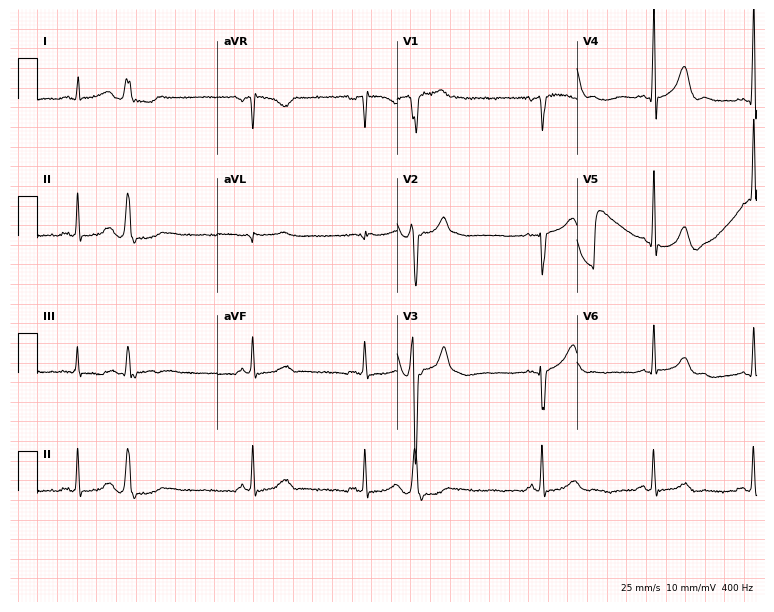
Resting 12-lead electrocardiogram. Patient: a man, 59 years old. None of these six findings is recorded: first-degree AV block, right bundle branch block, left bundle branch block, sinus bradycardia, atrial fibrillation, sinus tachycardia. Findings outside these six are not listed.